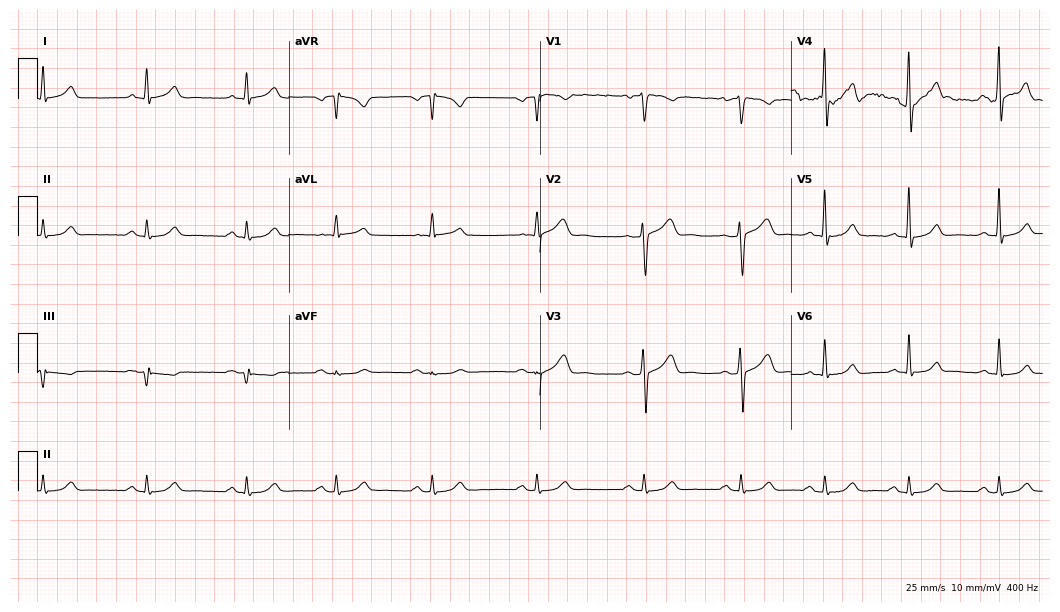
ECG (10.2-second recording at 400 Hz) — a male patient, 39 years old. Labelled as a normal ECG.